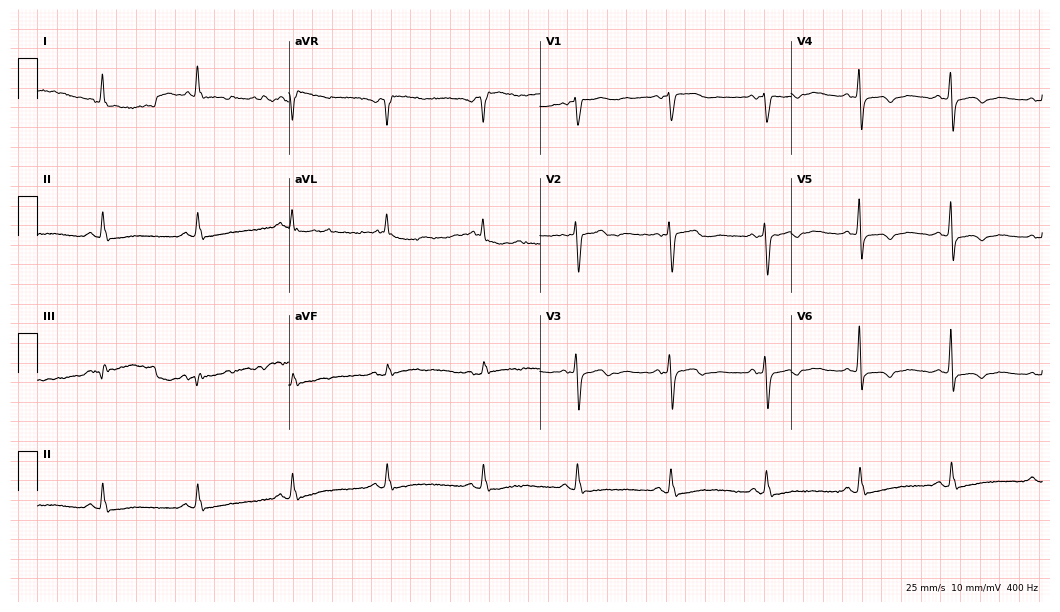
Resting 12-lead electrocardiogram. Patient: a 76-year-old woman. None of these six findings is recorded: first-degree AV block, right bundle branch block (RBBB), left bundle branch block (LBBB), sinus bradycardia, atrial fibrillation (AF), sinus tachycardia. Other findings, if any, are not listed.